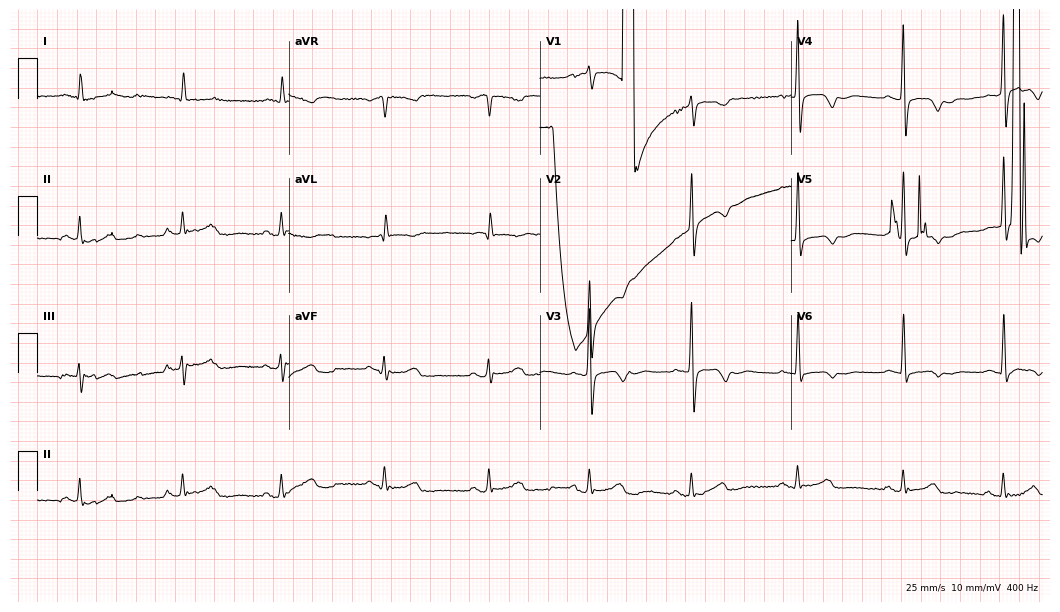
ECG (10.2-second recording at 400 Hz) — a woman, 84 years old. Screened for six findings — first-degree AV block, right bundle branch block, left bundle branch block, sinus bradycardia, atrial fibrillation, sinus tachycardia — none is recorded.